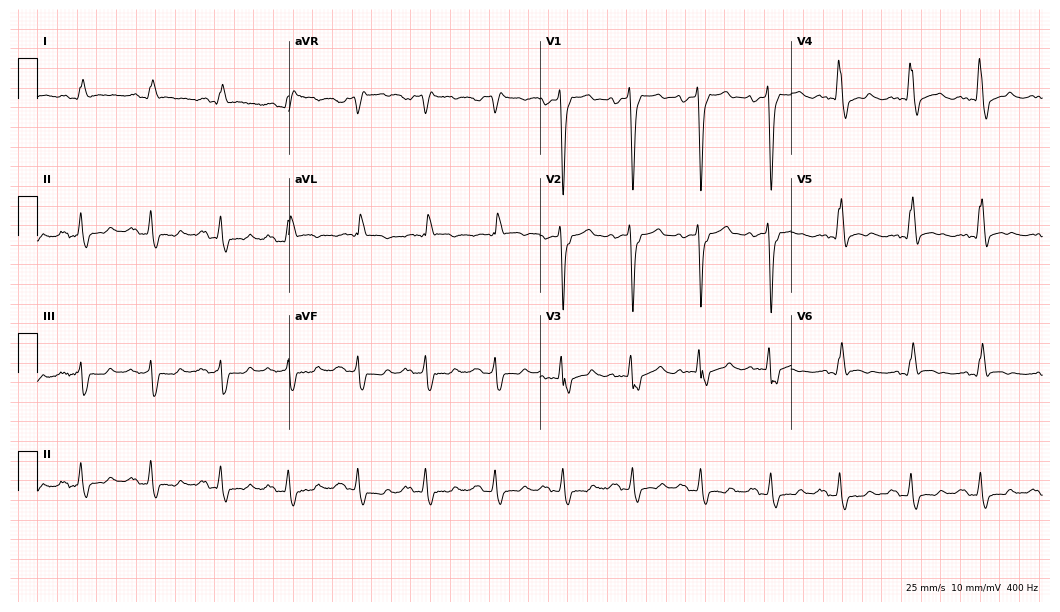
ECG (10.2-second recording at 400 Hz) — a man, 59 years old. Findings include left bundle branch block (LBBB).